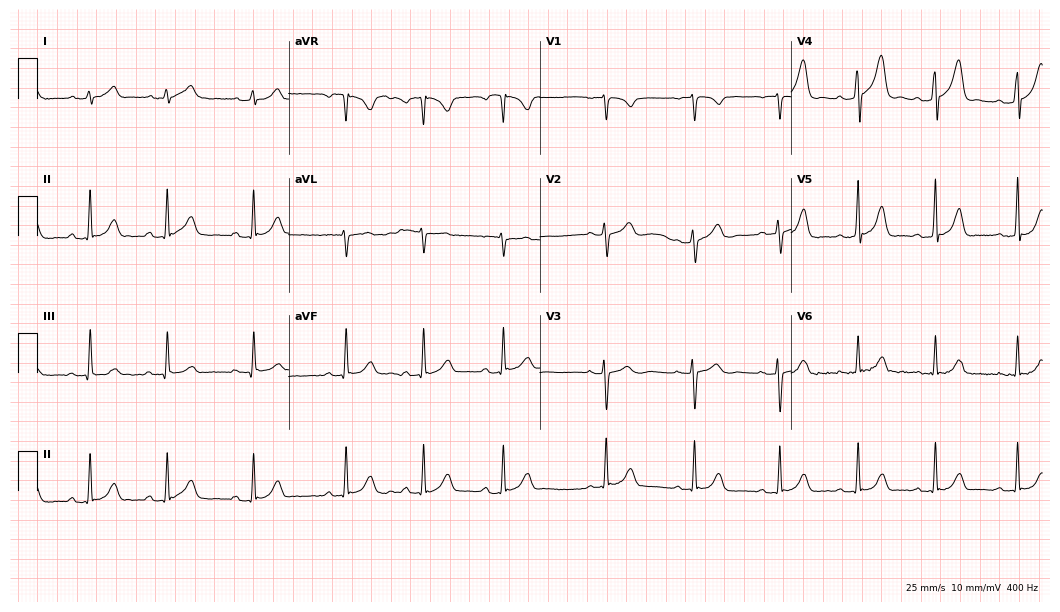
12-lead ECG from a woman, 17 years old. Labelled as a normal ECG.